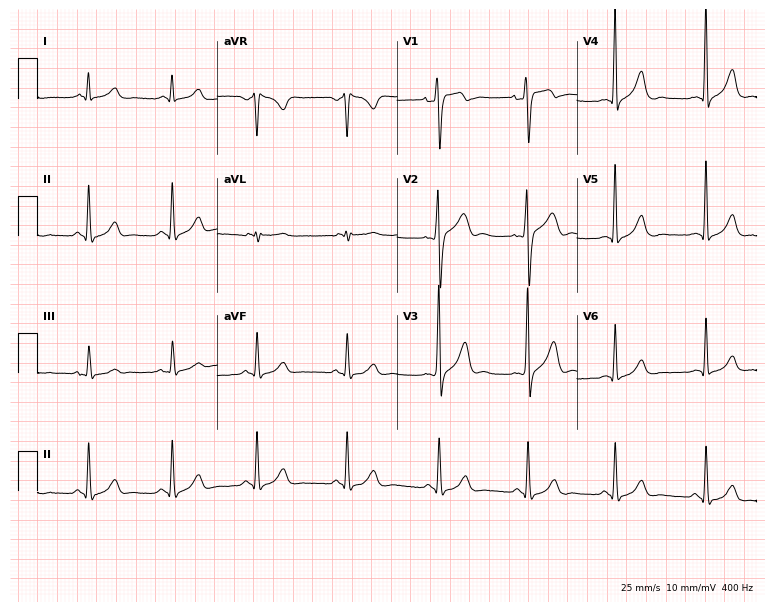
Resting 12-lead electrocardiogram (7.3-second recording at 400 Hz). Patient: a man, 36 years old. None of these six findings is recorded: first-degree AV block, right bundle branch block, left bundle branch block, sinus bradycardia, atrial fibrillation, sinus tachycardia. Findings outside these six are not listed.